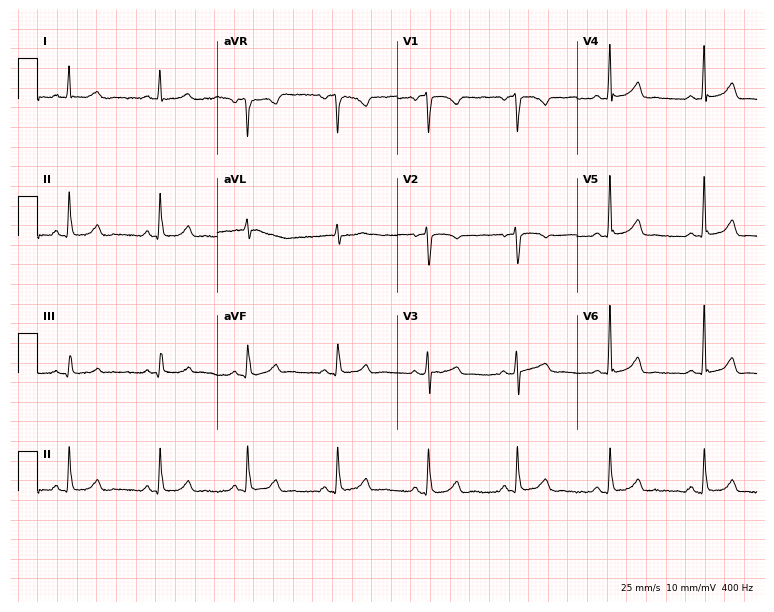
Standard 12-lead ECG recorded from a 51-year-old woman. Read as a normal ECG.